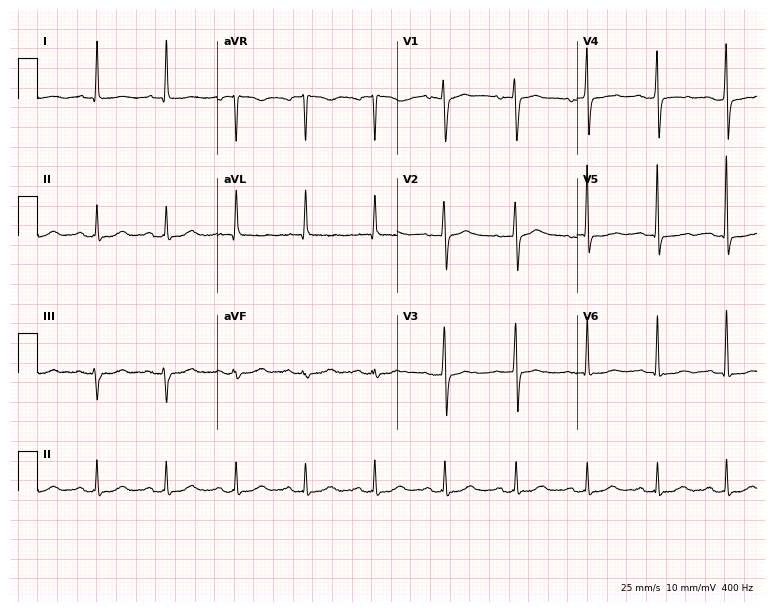
Resting 12-lead electrocardiogram (7.3-second recording at 400 Hz). Patient: a female, 59 years old. None of these six findings is recorded: first-degree AV block, right bundle branch block, left bundle branch block, sinus bradycardia, atrial fibrillation, sinus tachycardia.